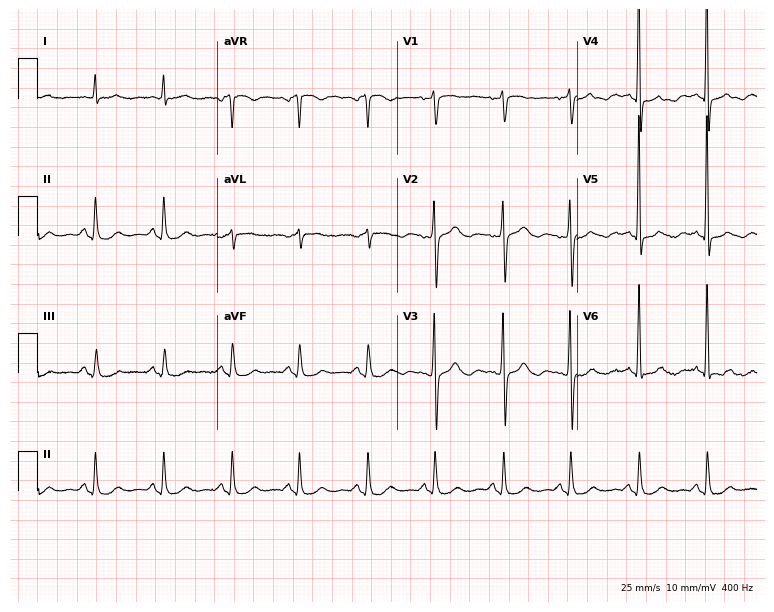
Electrocardiogram, an 81-year-old male patient. Of the six screened findings (first-degree AV block, right bundle branch block (RBBB), left bundle branch block (LBBB), sinus bradycardia, atrial fibrillation (AF), sinus tachycardia), none is recorded.